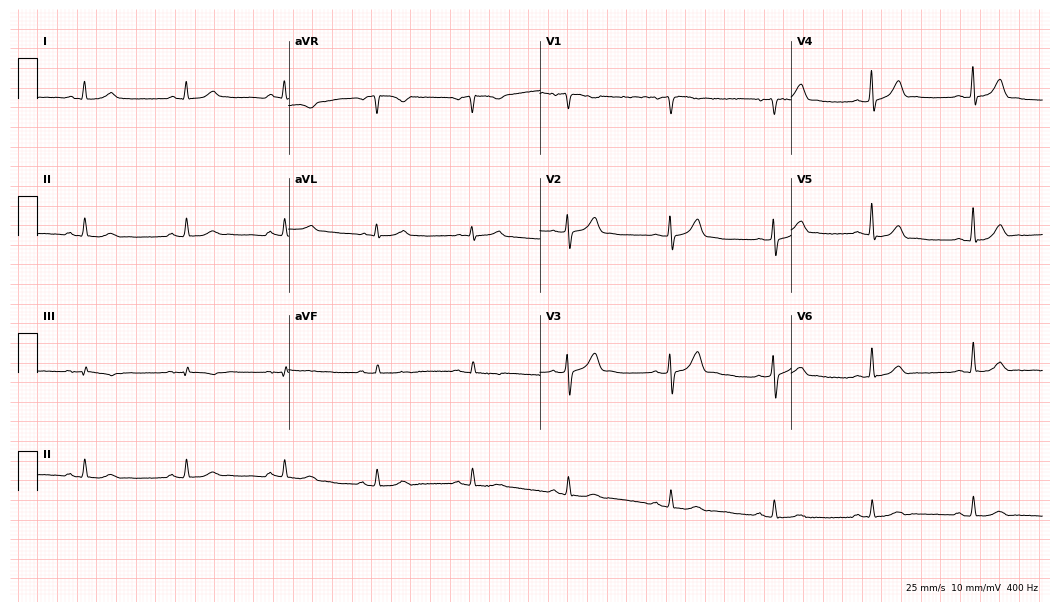
ECG — a 57-year-old male patient. Screened for six findings — first-degree AV block, right bundle branch block (RBBB), left bundle branch block (LBBB), sinus bradycardia, atrial fibrillation (AF), sinus tachycardia — none is recorded. Other findings, if any, are not listed.